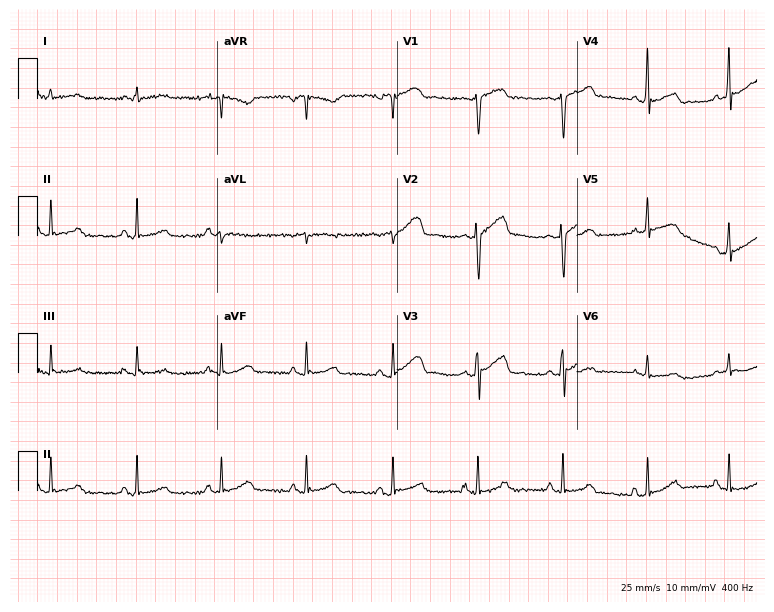
Electrocardiogram, a man, 55 years old. Overall reading on record: normal ECG.